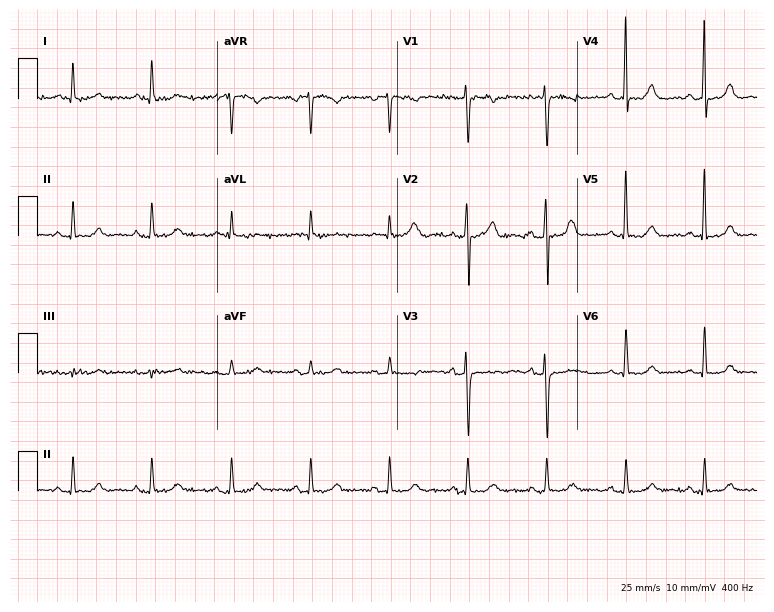
ECG — a man, 82 years old. Labelled as a normal ECG.